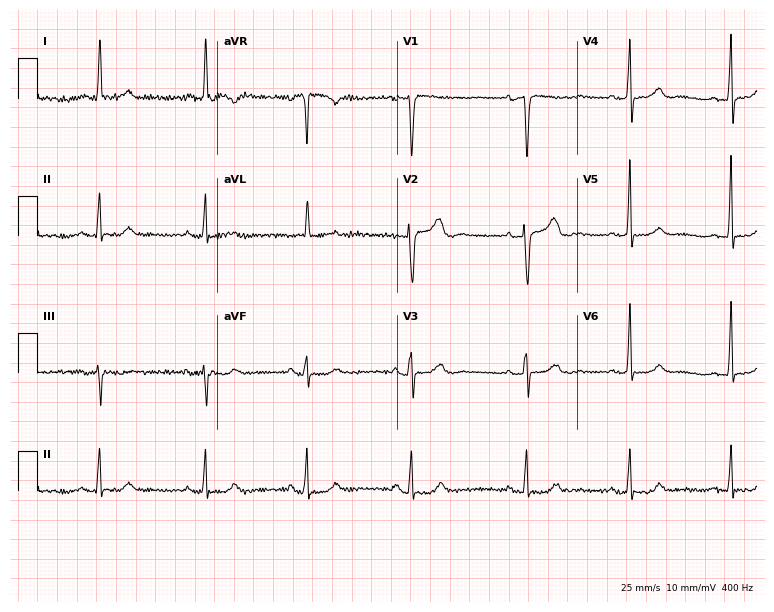
Resting 12-lead electrocardiogram (7.3-second recording at 400 Hz). Patient: a female, 71 years old. None of these six findings is recorded: first-degree AV block, right bundle branch block, left bundle branch block, sinus bradycardia, atrial fibrillation, sinus tachycardia.